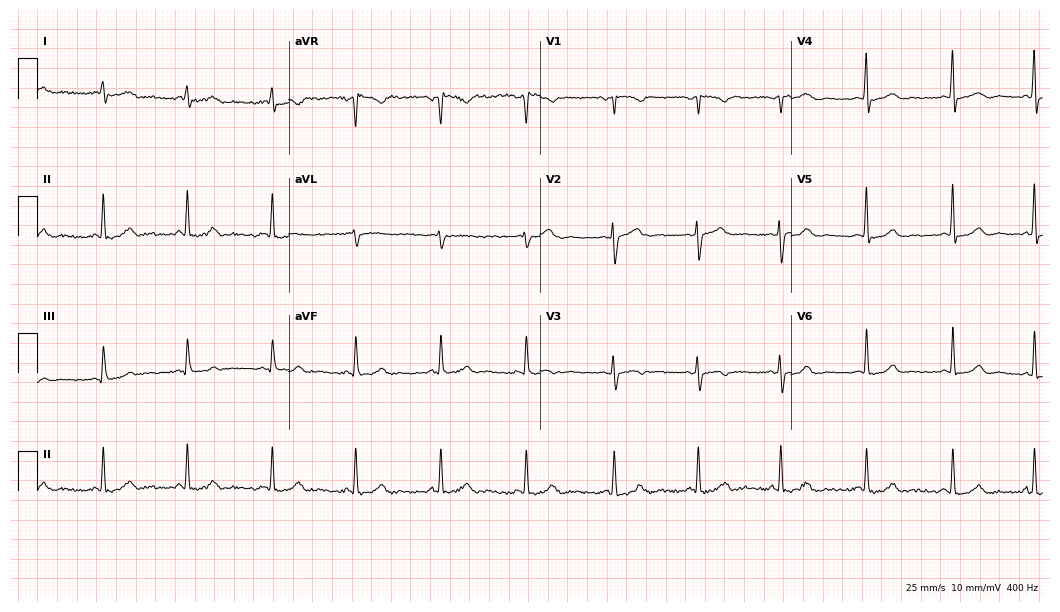
12-lead ECG from a 35-year-old woman (10.2-second recording at 400 Hz). No first-degree AV block, right bundle branch block, left bundle branch block, sinus bradycardia, atrial fibrillation or sinus tachycardia recorded for this tracing. Findings outside these six are not listed.